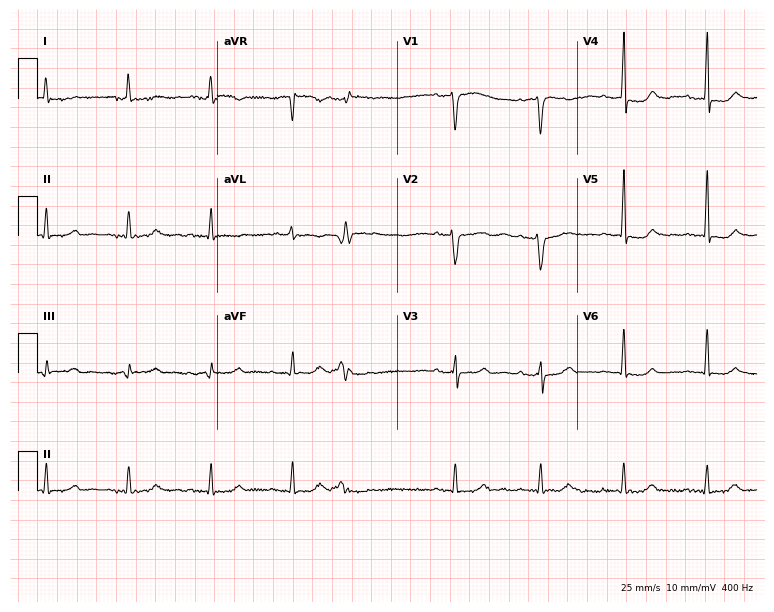
12-lead ECG (7.3-second recording at 400 Hz) from a female patient, 78 years old. Screened for six findings — first-degree AV block, right bundle branch block, left bundle branch block, sinus bradycardia, atrial fibrillation, sinus tachycardia — none is recorded.